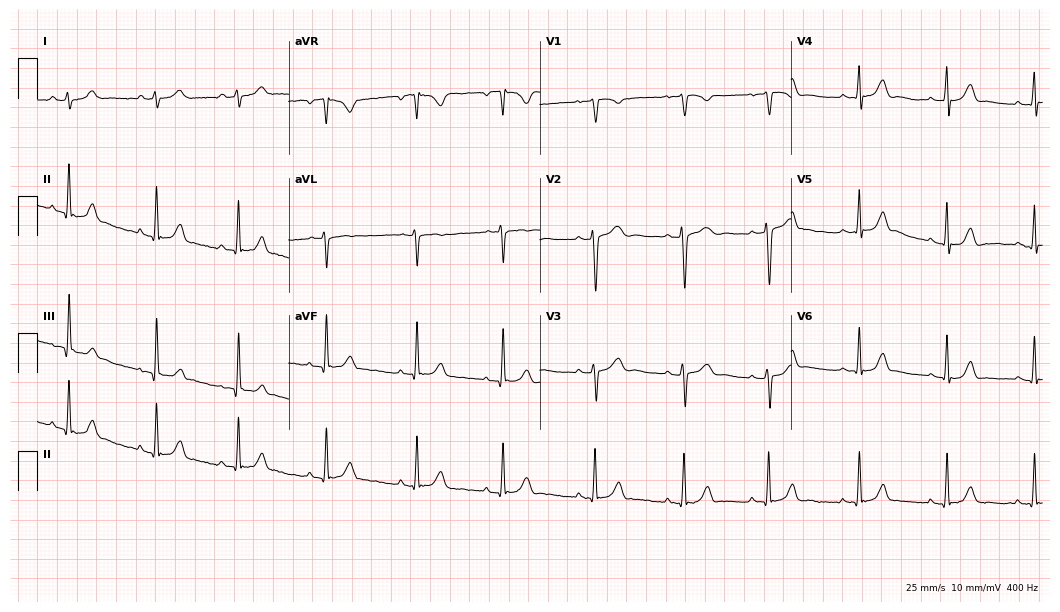
12-lead ECG from a female, 25 years old. Recorded interpretation: within normal limits.